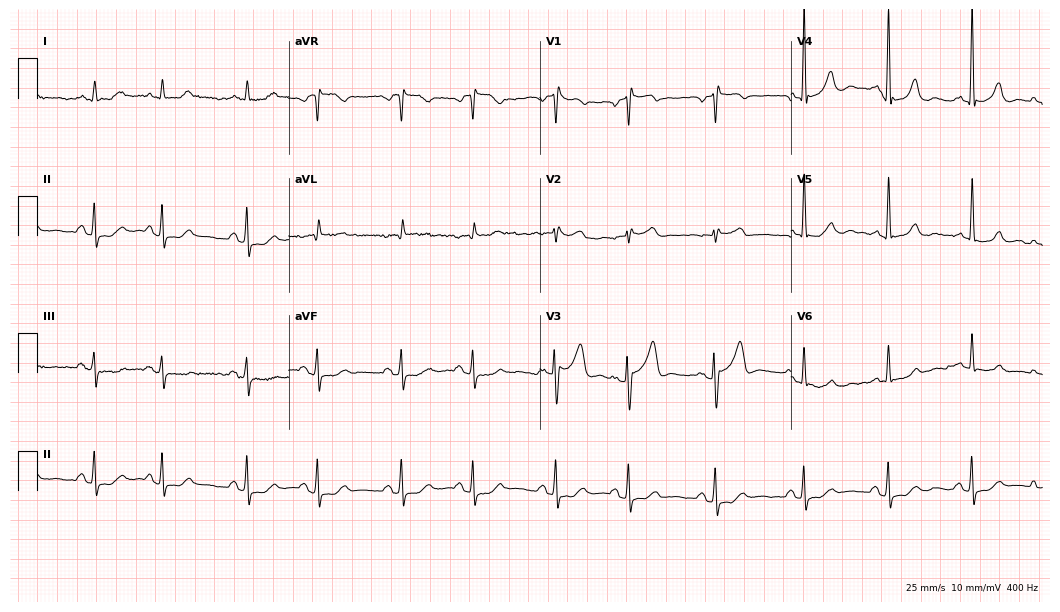
Electrocardiogram (10.2-second recording at 400 Hz), a man, 74 years old. Of the six screened findings (first-degree AV block, right bundle branch block, left bundle branch block, sinus bradycardia, atrial fibrillation, sinus tachycardia), none is recorded. Findings outside these six are not listed.